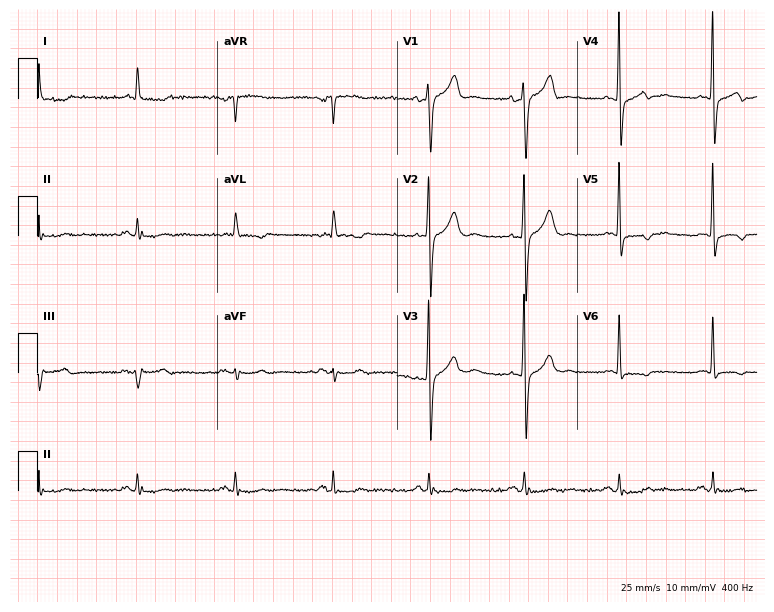
12-lead ECG (7.3-second recording at 400 Hz) from a 75-year-old male patient. Screened for six findings — first-degree AV block, right bundle branch block, left bundle branch block, sinus bradycardia, atrial fibrillation, sinus tachycardia — none is recorded. Only these six findings were labelled.